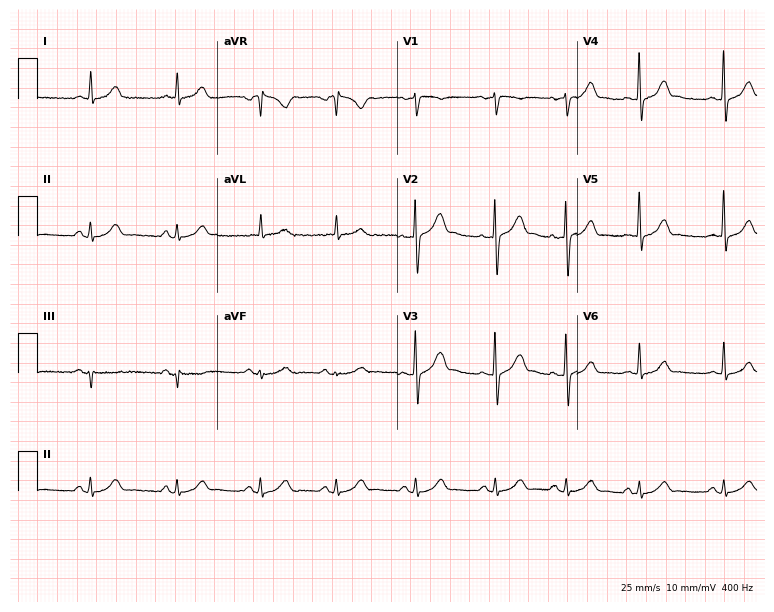
Standard 12-lead ECG recorded from a man, 40 years old (7.3-second recording at 400 Hz). None of these six findings is recorded: first-degree AV block, right bundle branch block, left bundle branch block, sinus bradycardia, atrial fibrillation, sinus tachycardia. Findings outside these six are not listed.